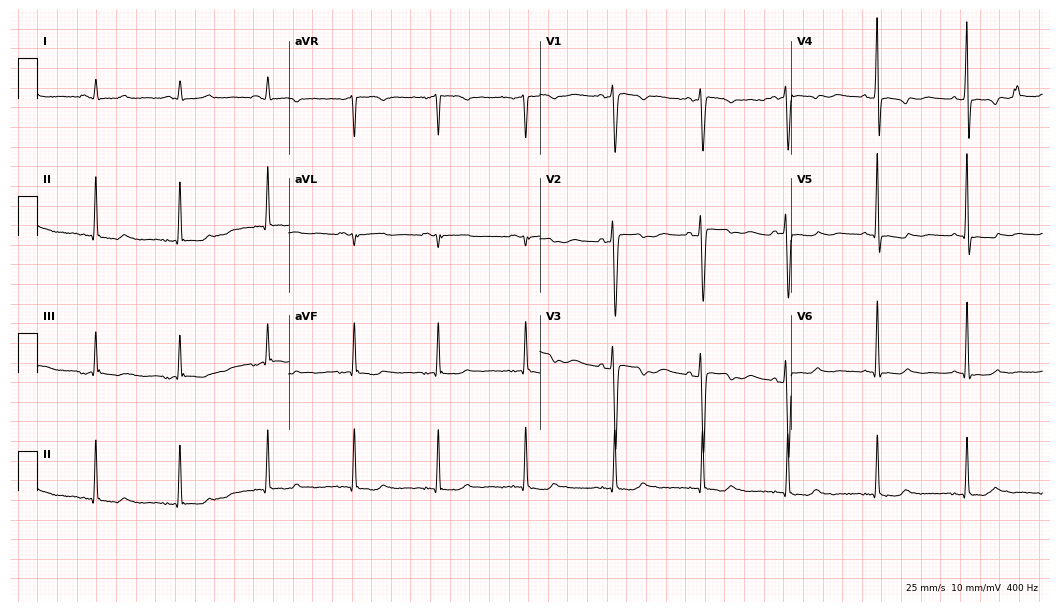
Resting 12-lead electrocardiogram (10.2-second recording at 400 Hz). Patient: a female, 40 years old. None of these six findings is recorded: first-degree AV block, right bundle branch block, left bundle branch block, sinus bradycardia, atrial fibrillation, sinus tachycardia. Findings outside these six are not listed.